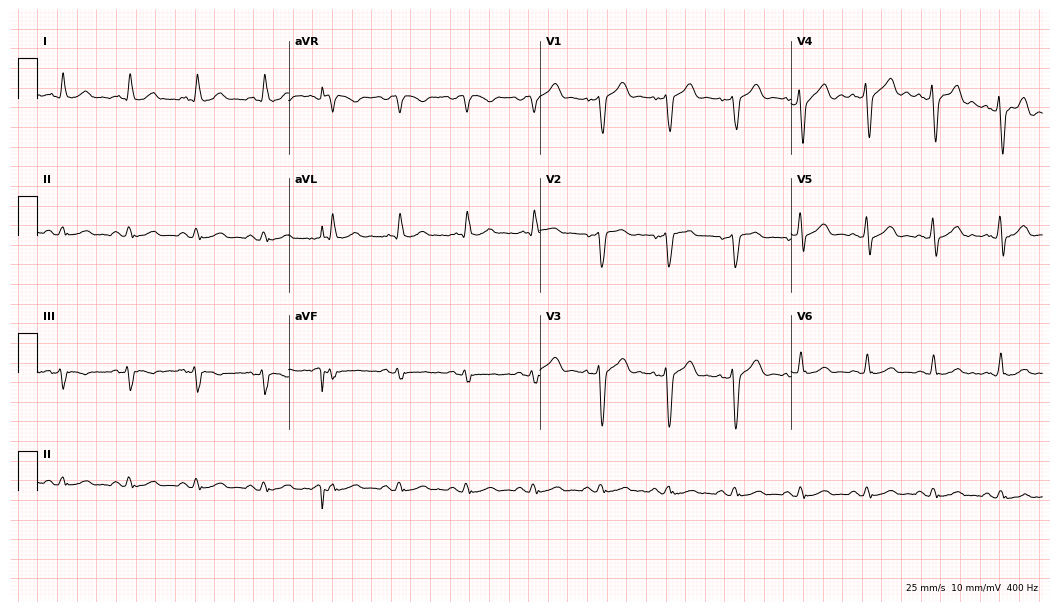
12-lead ECG from a male, 56 years old. Labelled as a normal ECG.